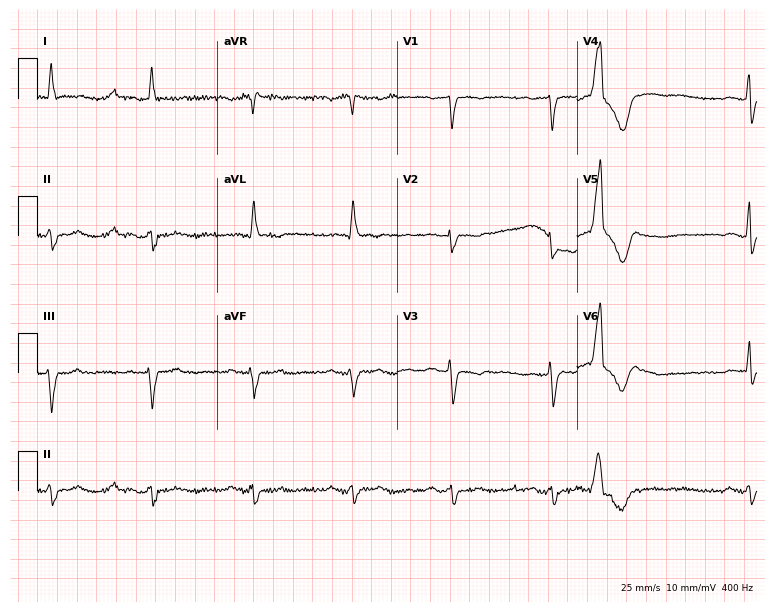
ECG (7.3-second recording at 400 Hz) — a 75-year-old man. Screened for six findings — first-degree AV block, right bundle branch block, left bundle branch block, sinus bradycardia, atrial fibrillation, sinus tachycardia — none is recorded. Findings outside these six are not listed.